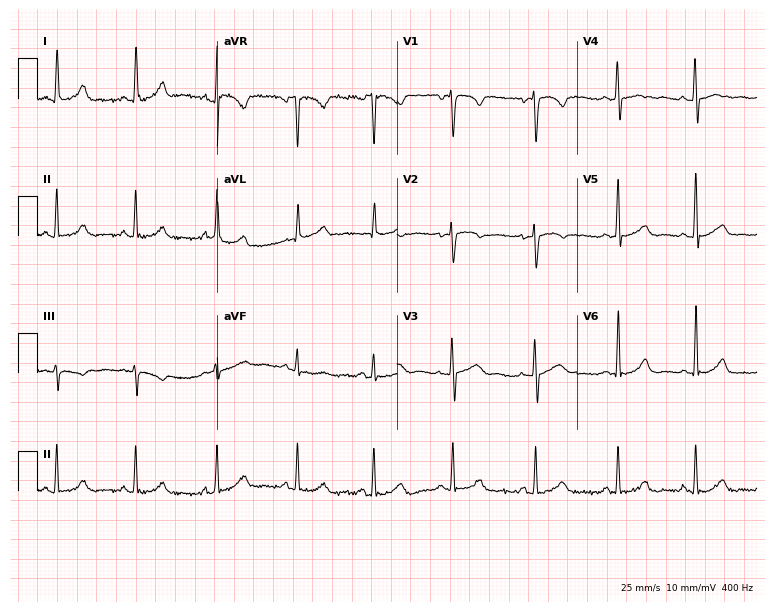
ECG — a 26-year-old woman. Labelled as a normal ECG.